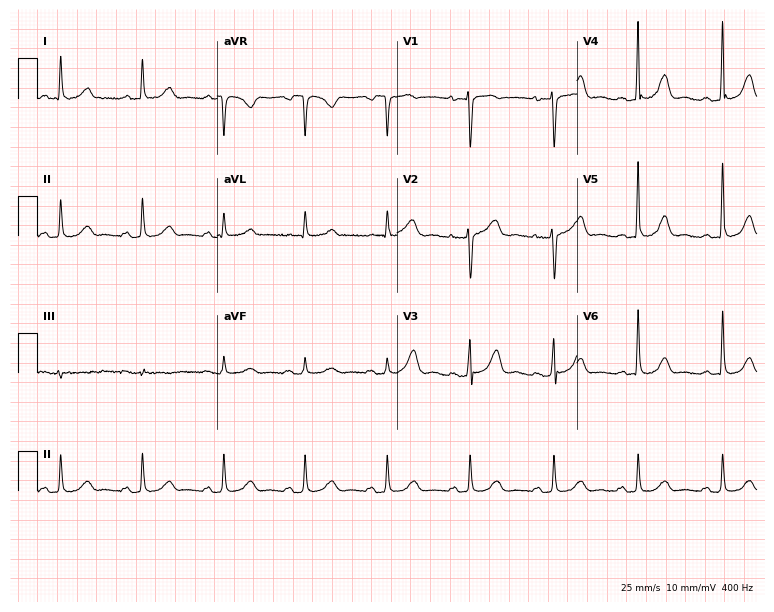
Resting 12-lead electrocardiogram (7.3-second recording at 400 Hz). Patient: a 59-year-old woman. Read as a normal ECG.